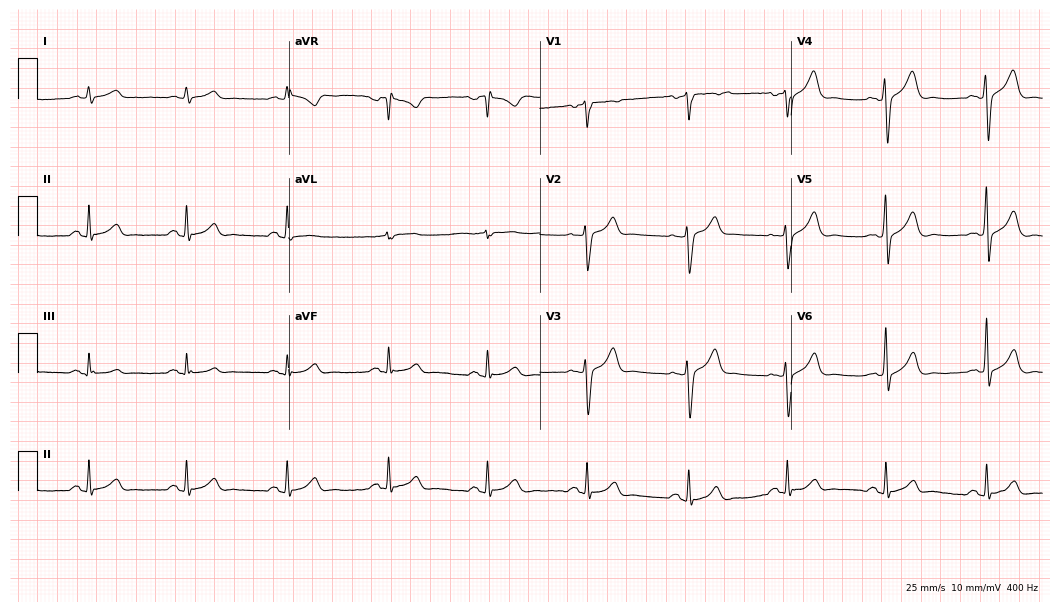
ECG (10.2-second recording at 400 Hz) — a 47-year-old man. Labelled as a normal ECG.